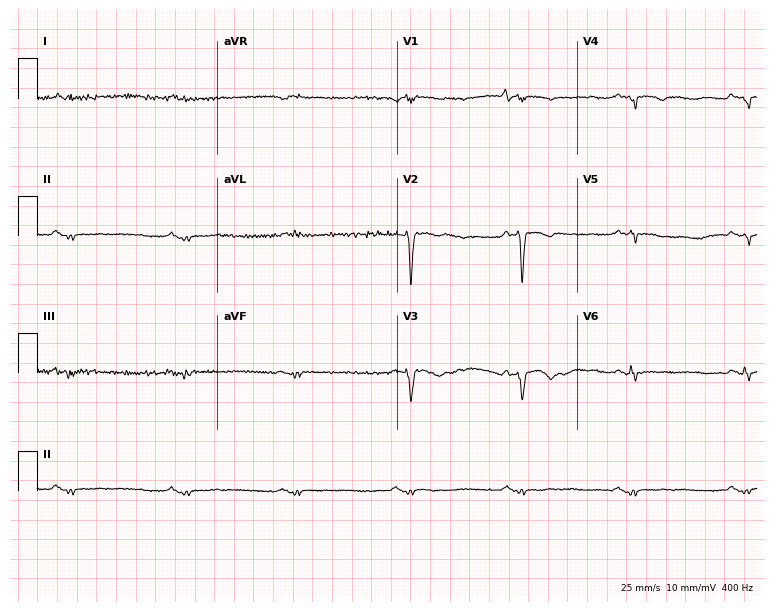
ECG (7.3-second recording at 400 Hz) — a man, 47 years old. Screened for six findings — first-degree AV block, right bundle branch block (RBBB), left bundle branch block (LBBB), sinus bradycardia, atrial fibrillation (AF), sinus tachycardia — none is recorded. Other findings, if any, are not listed.